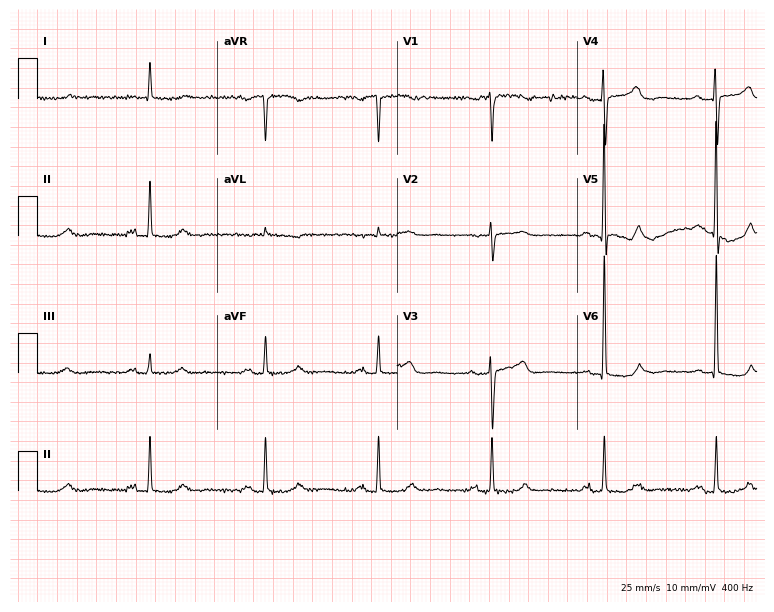
Resting 12-lead electrocardiogram (7.3-second recording at 400 Hz). Patient: a male, 82 years old. None of these six findings is recorded: first-degree AV block, right bundle branch block, left bundle branch block, sinus bradycardia, atrial fibrillation, sinus tachycardia. Findings outside these six are not listed.